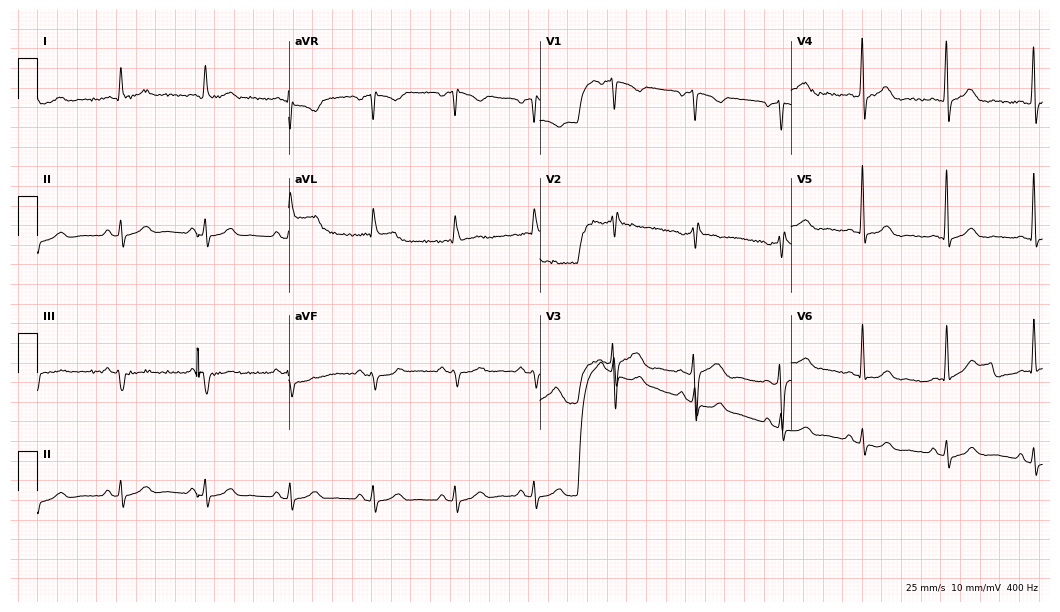
12-lead ECG from a male, 49 years old. Recorded interpretation: within normal limits.